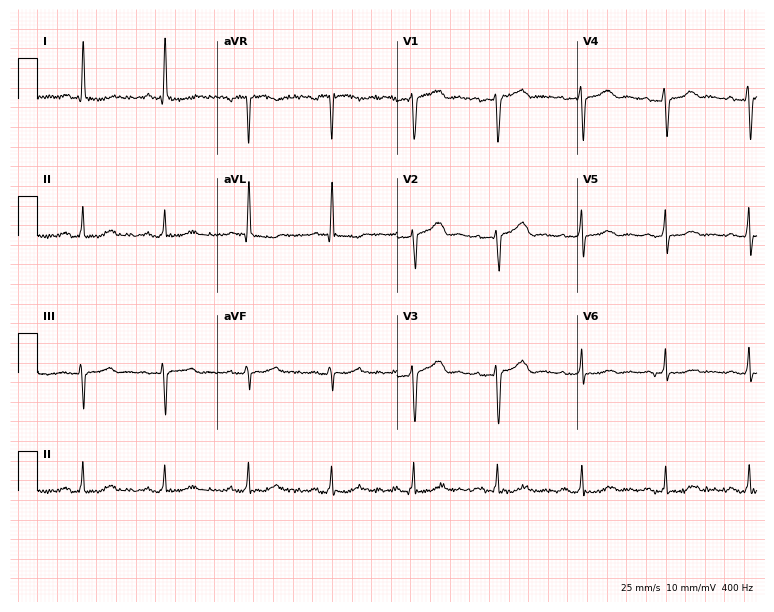
12-lead ECG from a woman, 57 years old. Screened for six findings — first-degree AV block, right bundle branch block, left bundle branch block, sinus bradycardia, atrial fibrillation, sinus tachycardia — none is recorded. Only these six findings were labelled.